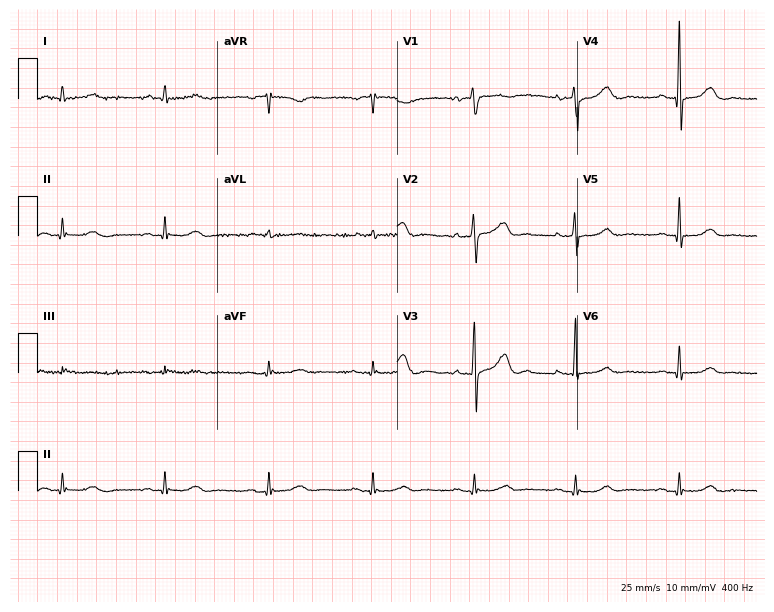
Resting 12-lead electrocardiogram (7.3-second recording at 400 Hz). Patient: a man, 84 years old. Read as a normal ECG.